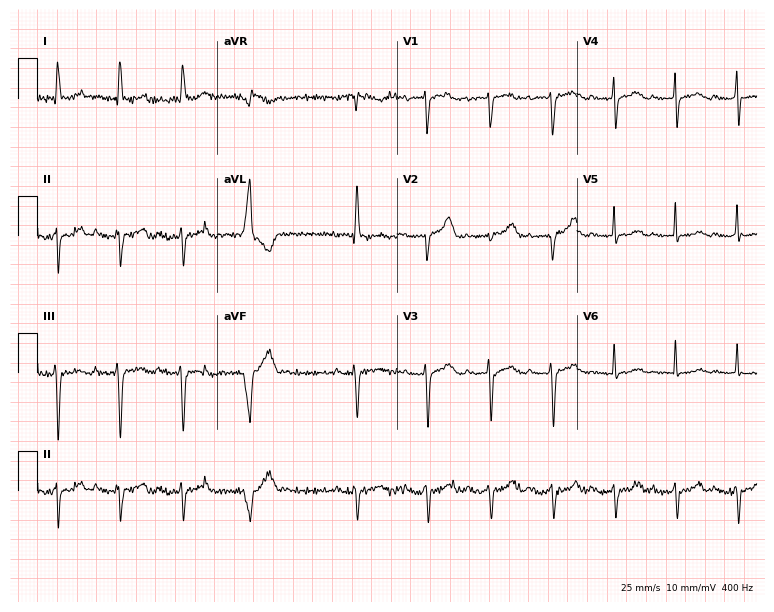
ECG — a woman, 84 years old. Screened for six findings — first-degree AV block, right bundle branch block (RBBB), left bundle branch block (LBBB), sinus bradycardia, atrial fibrillation (AF), sinus tachycardia — none is recorded.